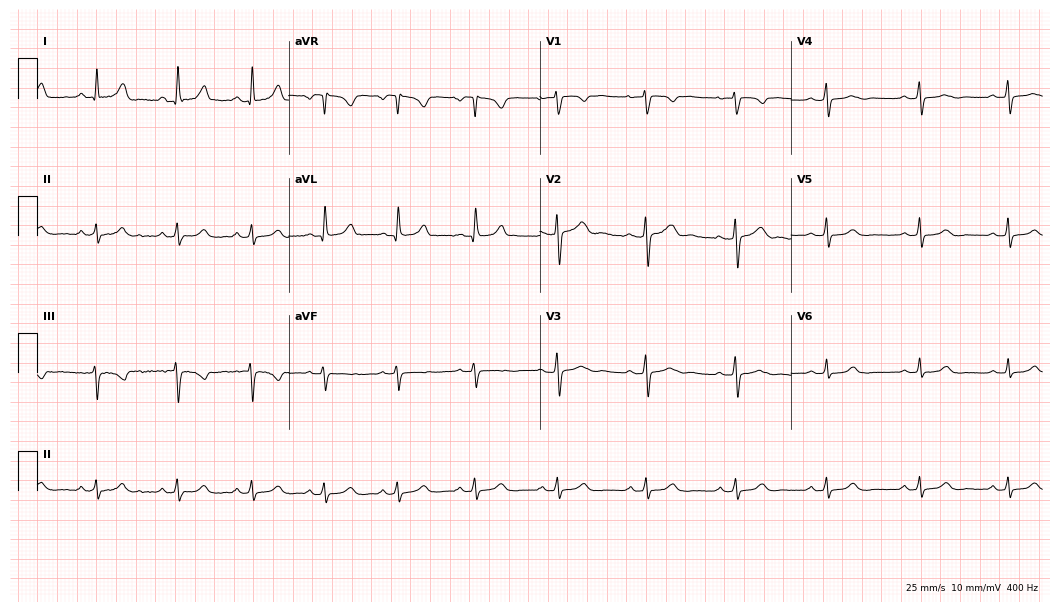
12-lead ECG from a 23-year-old female patient. Recorded interpretation: within normal limits.